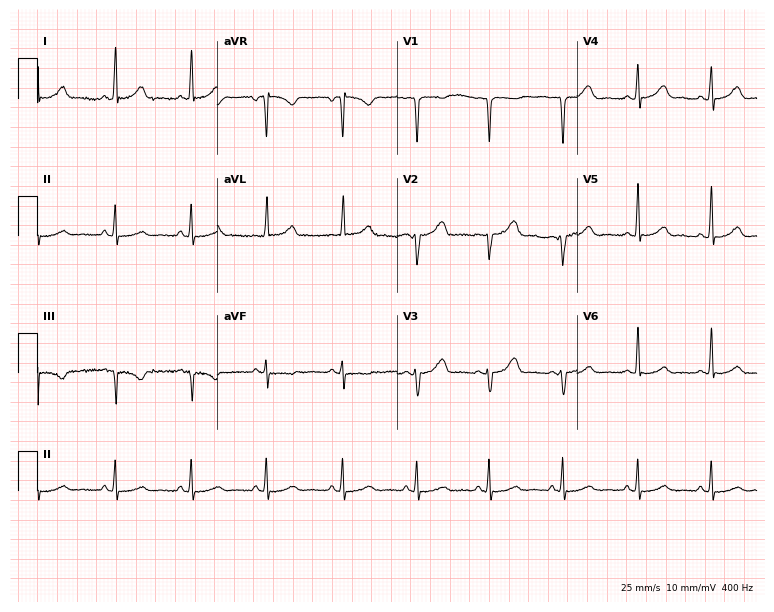
12-lead ECG from a 39-year-old woman (7.3-second recording at 400 Hz). No first-degree AV block, right bundle branch block, left bundle branch block, sinus bradycardia, atrial fibrillation or sinus tachycardia recorded for this tracing. Other findings, if any, are not listed.